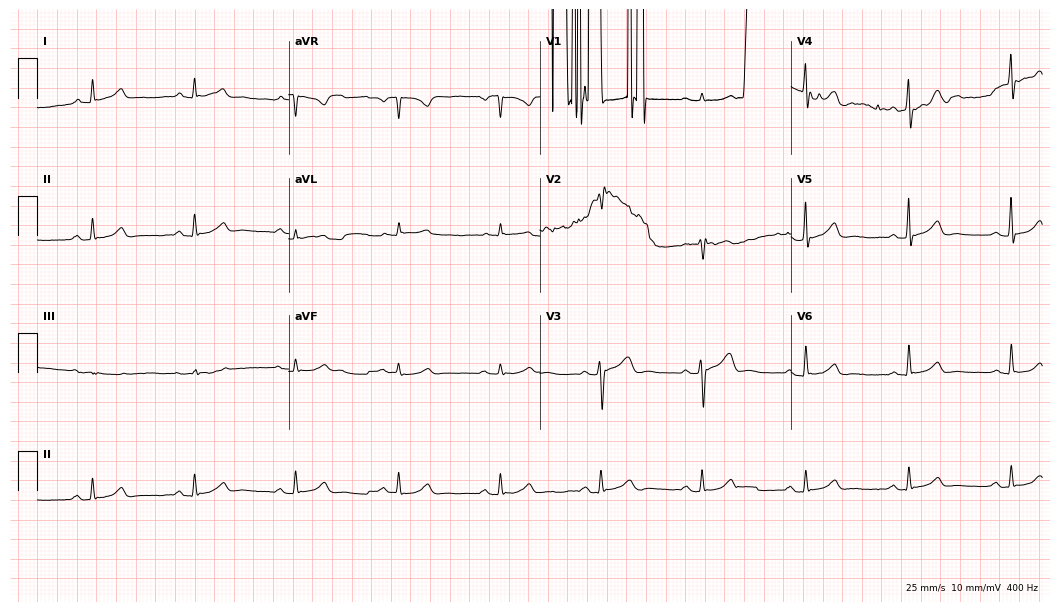
Electrocardiogram, a 55-year-old male. Of the six screened findings (first-degree AV block, right bundle branch block, left bundle branch block, sinus bradycardia, atrial fibrillation, sinus tachycardia), none is recorded. Only these six findings were labelled.